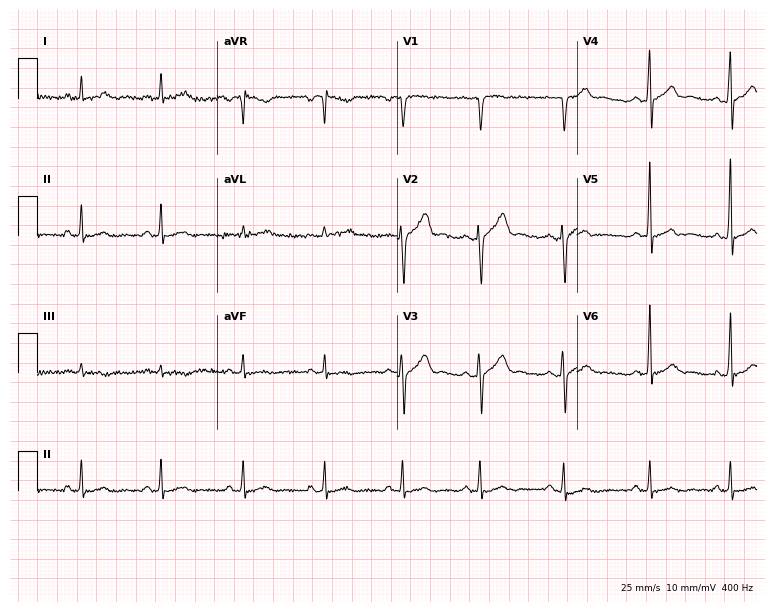
Standard 12-lead ECG recorded from a male, 38 years old. None of these six findings is recorded: first-degree AV block, right bundle branch block (RBBB), left bundle branch block (LBBB), sinus bradycardia, atrial fibrillation (AF), sinus tachycardia.